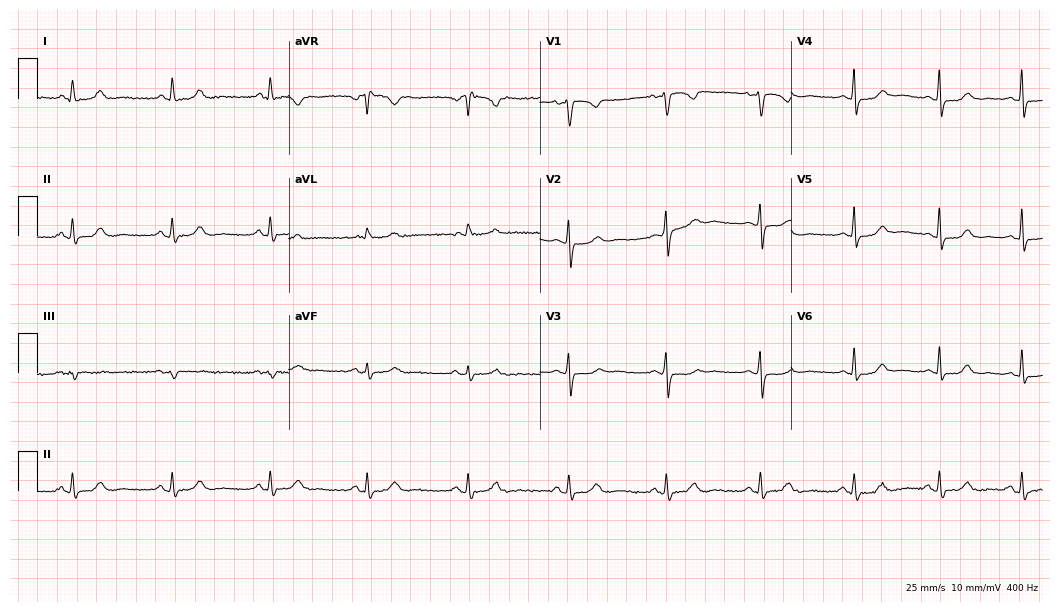
Standard 12-lead ECG recorded from a woman, 35 years old. Read as a normal ECG.